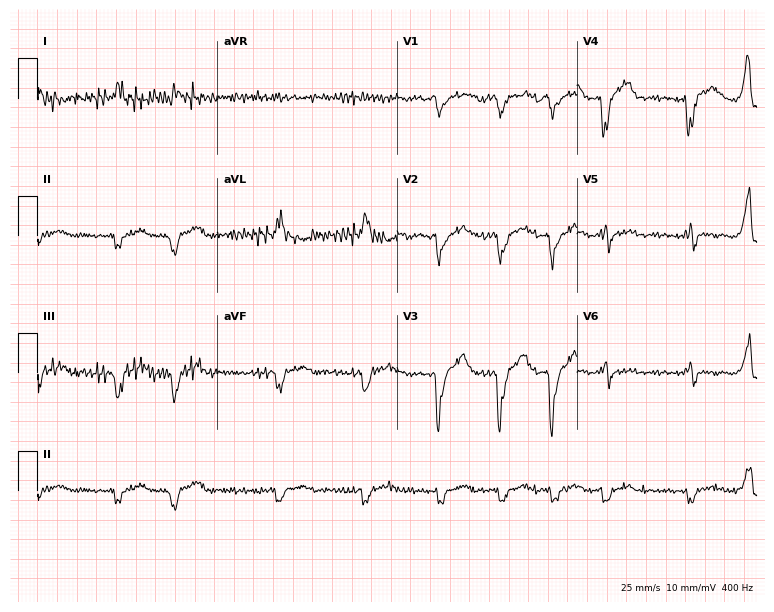
12-lead ECG from a male, 64 years old. Screened for six findings — first-degree AV block, right bundle branch block, left bundle branch block, sinus bradycardia, atrial fibrillation, sinus tachycardia — none is recorded.